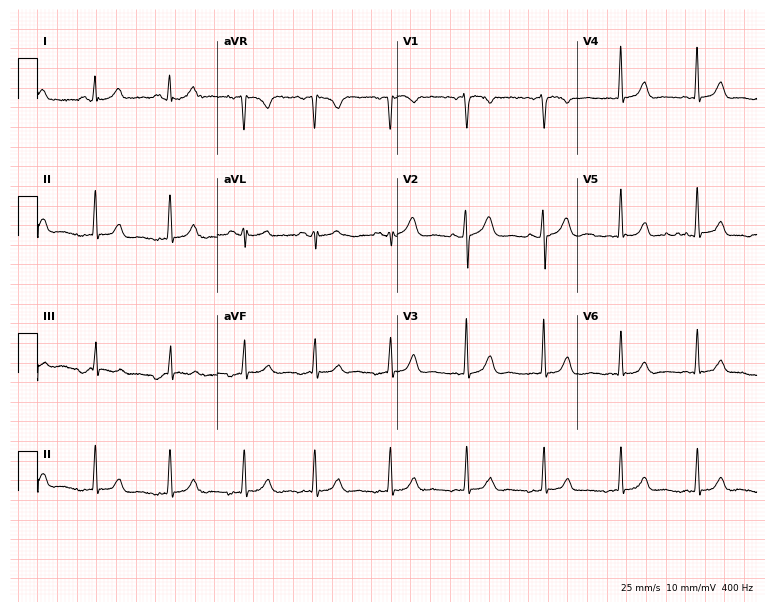
12-lead ECG from a 39-year-old female. Recorded interpretation: within normal limits.